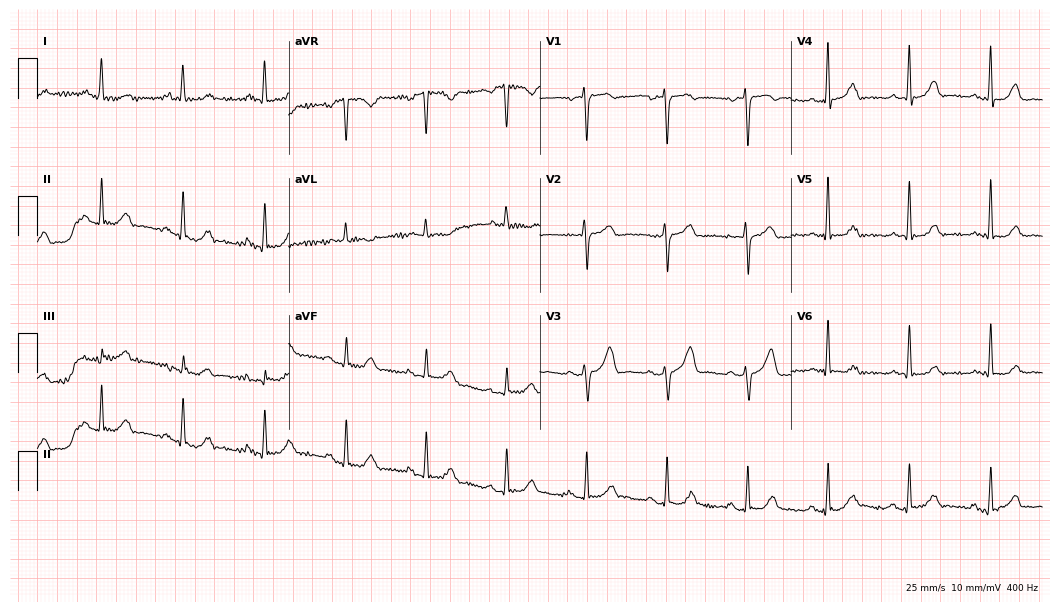
12-lead ECG from a 69-year-old female patient. Labelled as a normal ECG.